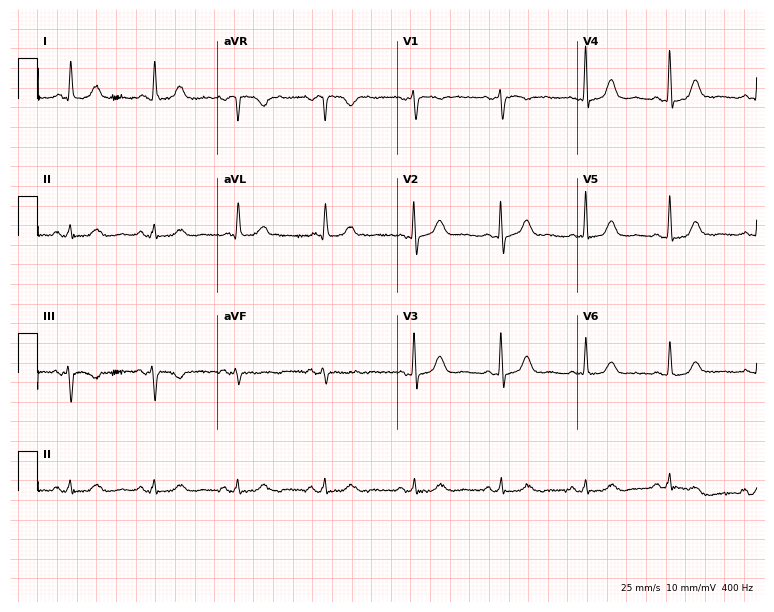
Electrocardiogram, a female patient, 85 years old. Overall reading on record: normal ECG.